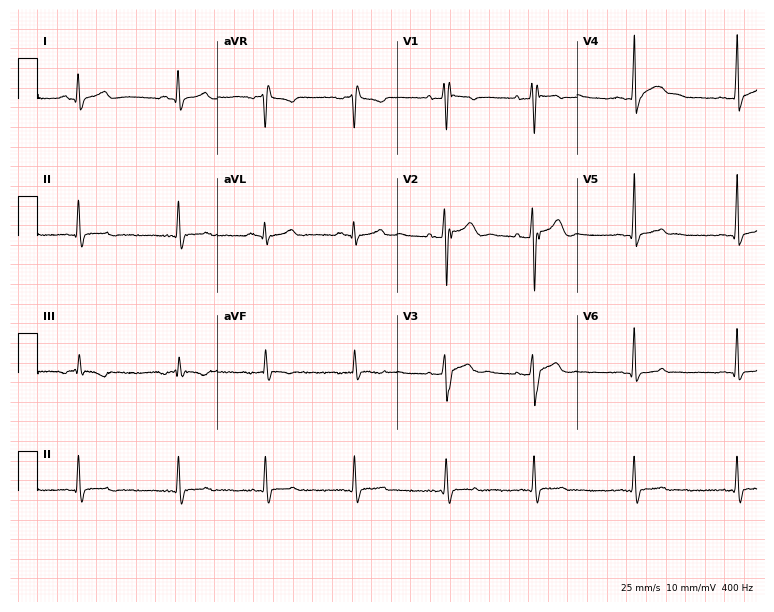
Resting 12-lead electrocardiogram. Patient: a 21-year-old male. None of these six findings is recorded: first-degree AV block, right bundle branch block, left bundle branch block, sinus bradycardia, atrial fibrillation, sinus tachycardia.